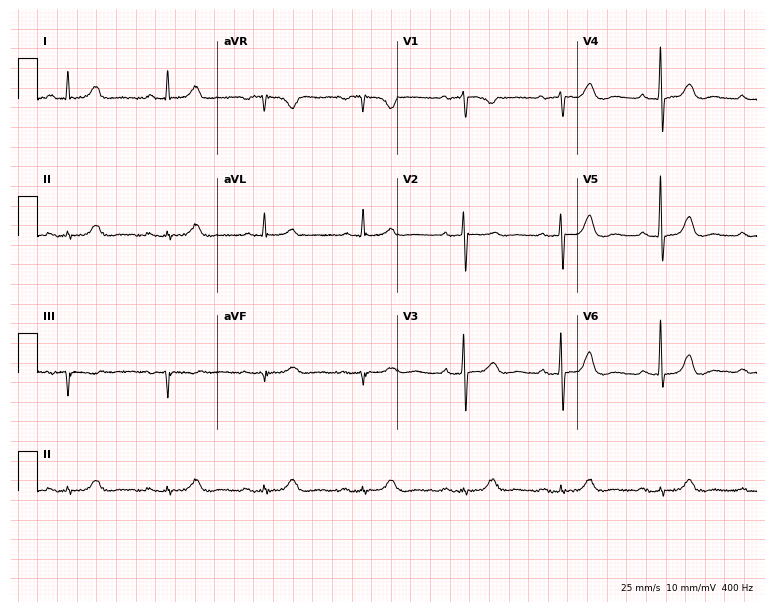
Electrocardiogram (7.3-second recording at 400 Hz), a 67-year-old female. Overall reading on record: normal ECG.